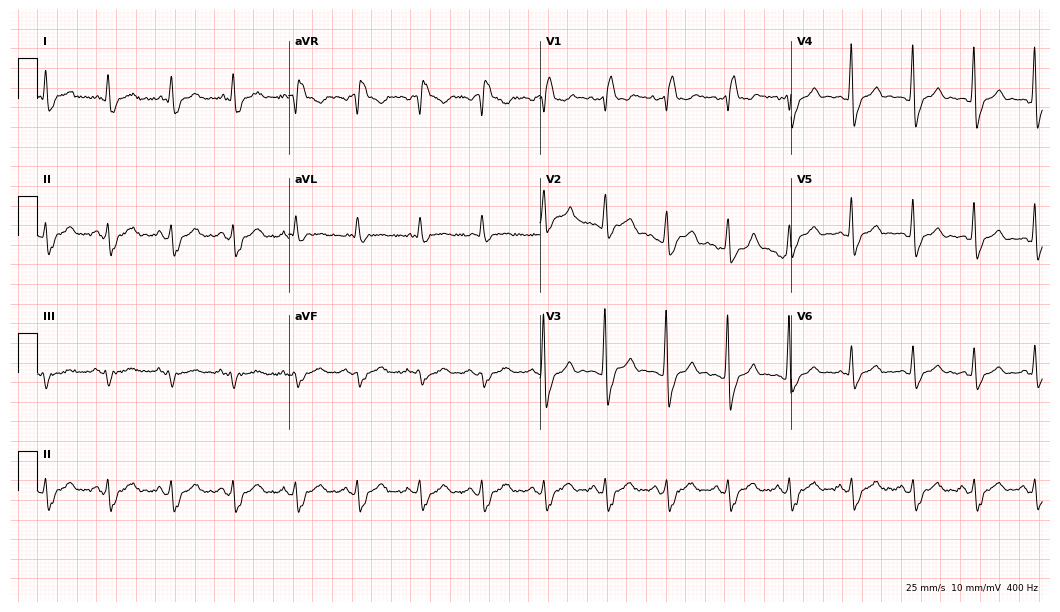
ECG — a 69-year-old male patient. Findings include right bundle branch block (RBBB).